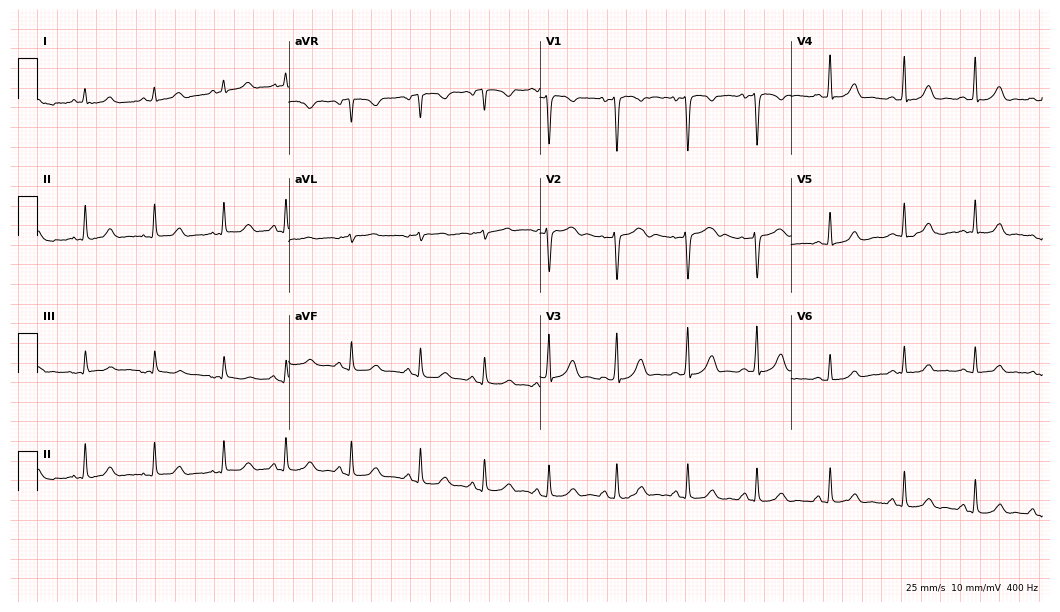
Resting 12-lead electrocardiogram (10.2-second recording at 400 Hz). Patient: a 22-year-old woman. Read as a normal ECG.